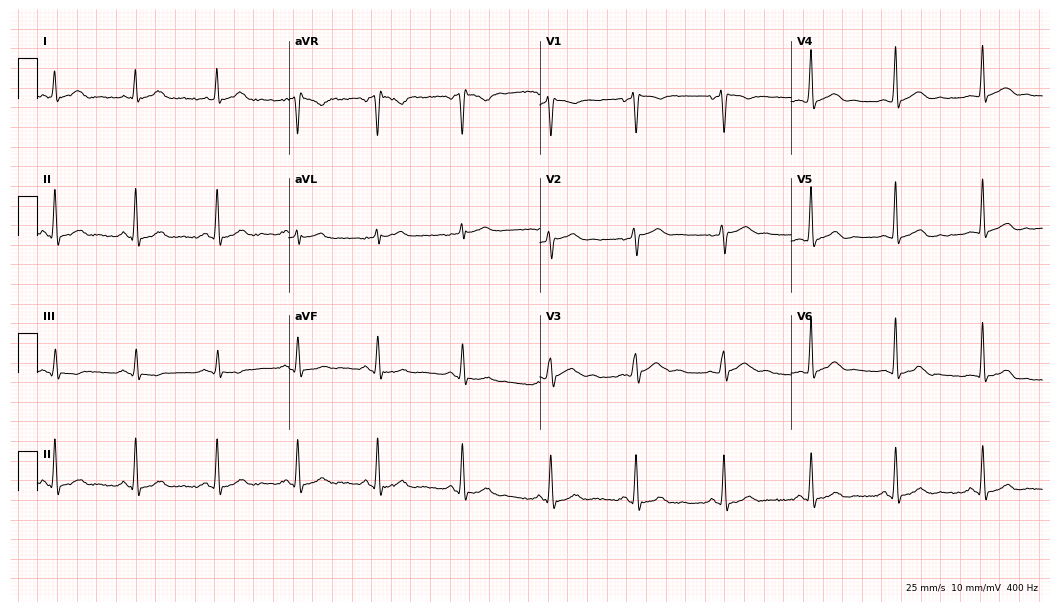
Standard 12-lead ECG recorded from a male, 36 years old (10.2-second recording at 400 Hz). Read as a normal ECG.